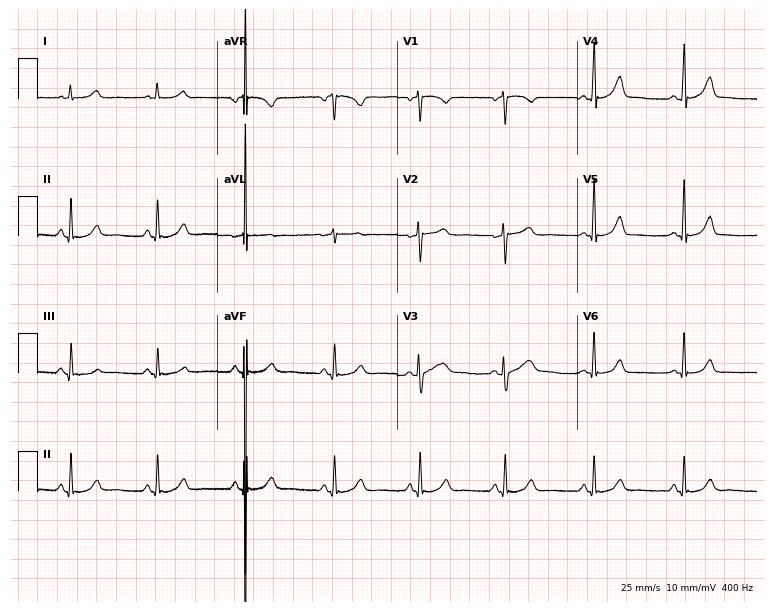
ECG — a woman, 29 years old. Screened for six findings — first-degree AV block, right bundle branch block, left bundle branch block, sinus bradycardia, atrial fibrillation, sinus tachycardia — none is recorded.